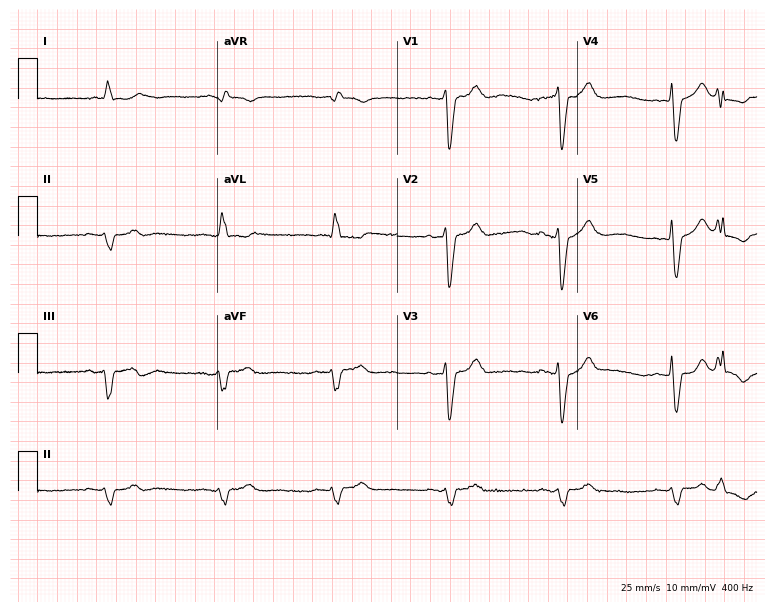
12-lead ECG from an 86-year-old man (7.3-second recording at 400 Hz). Shows left bundle branch block (LBBB), atrial fibrillation (AF).